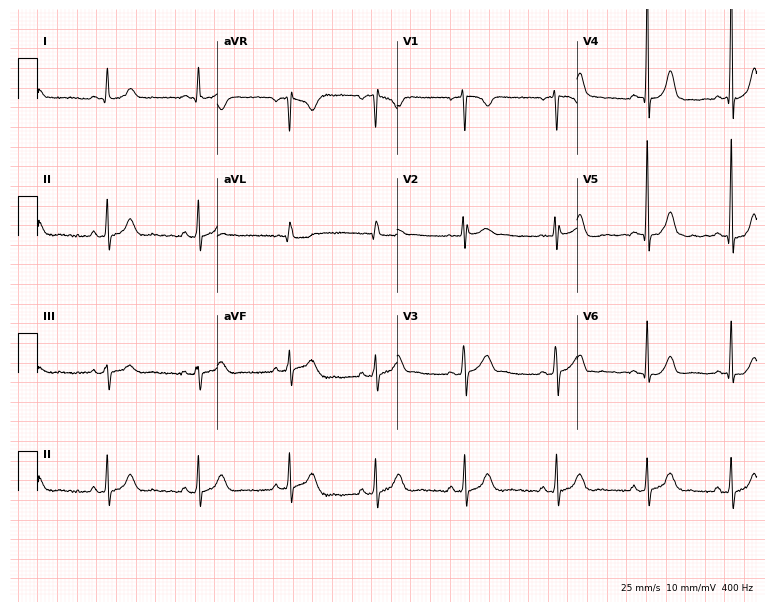
12-lead ECG (7.3-second recording at 400 Hz) from a female, 38 years old. Labelled as a normal ECG.